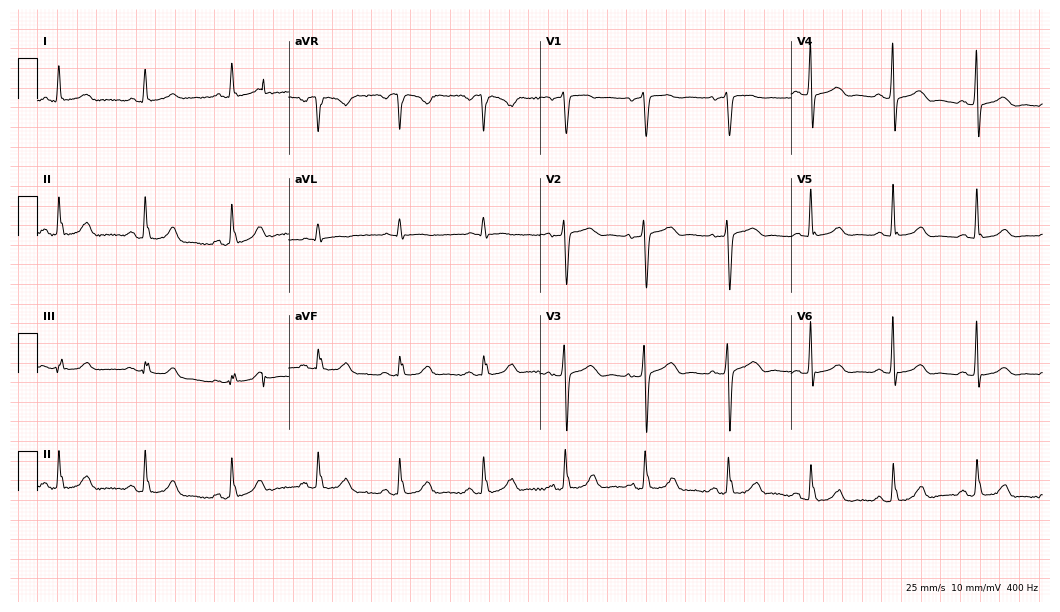
12-lead ECG (10.2-second recording at 400 Hz) from a 75-year-old female. Labelled as a normal ECG.